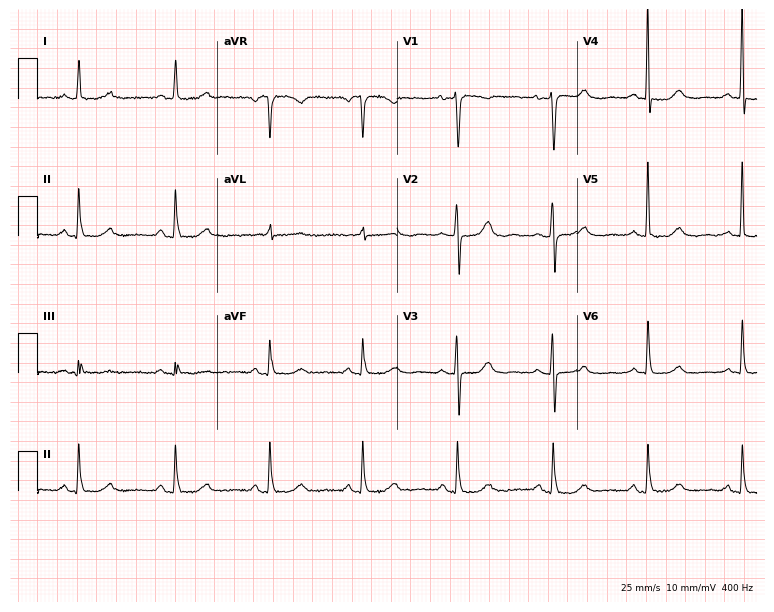
12-lead ECG (7.3-second recording at 400 Hz) from a female, 73 years old. Screened for six findings — first-degree AV block, right bundle branch block, left bundle branch block, sinus bradycardia, atrial fibrillation, sinus tachycardia — none is recorded. Findings outside these six are not listed.